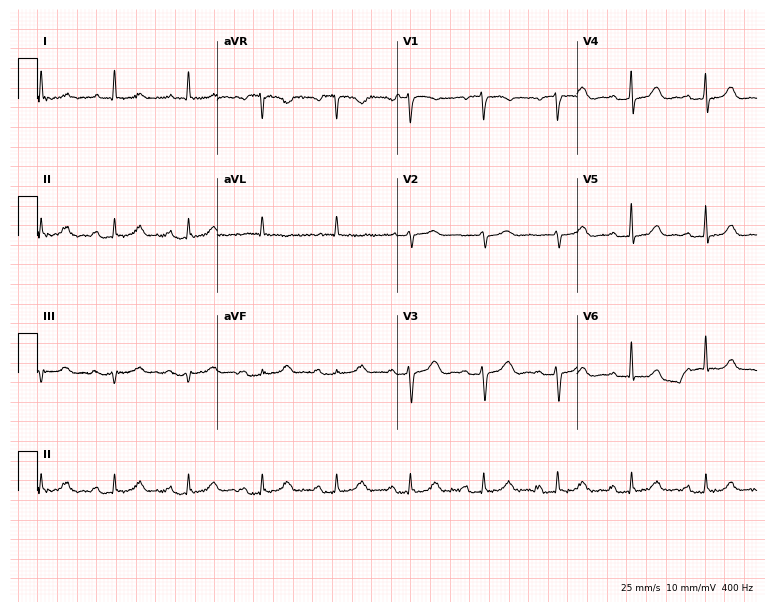
Resting 12-lead electrocardiogram (7.3-second recording at 400 Hz). Patient: a 72-year-old female. Read as a normal ECG.